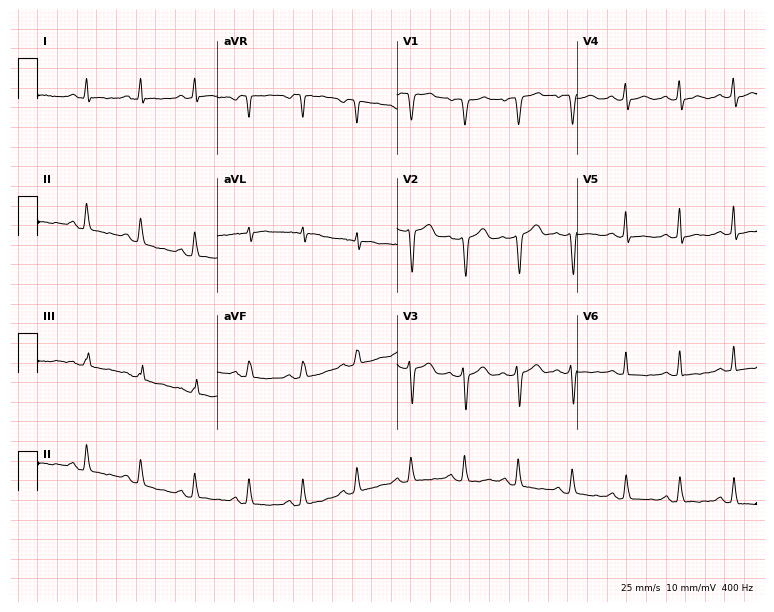
Electrocardiogram (7.3-second recording at 400 Hz), a man, 57 years old. Of the six screened findings (first-degree AV block, right bundle branch block (RBBB), left bundle branch block (LBBB), sinus bradycardia, atrial fibrillation (AF), sinus tachycardia), none is recorded.